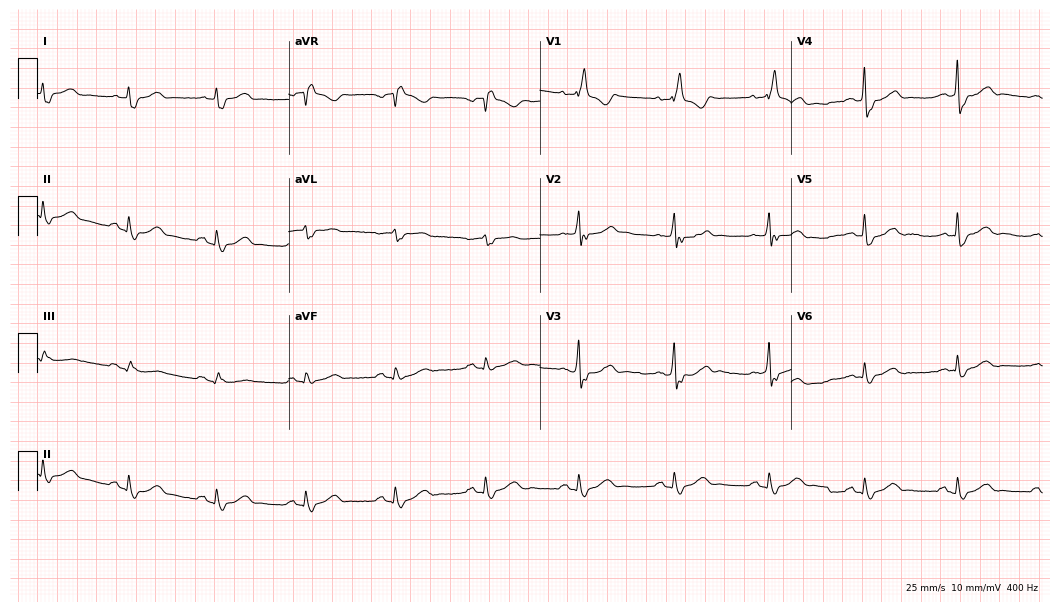
12-lead ECG from a 76-year-old man (10.2-second recording at 400 Hz). Shows right bundle branch block.